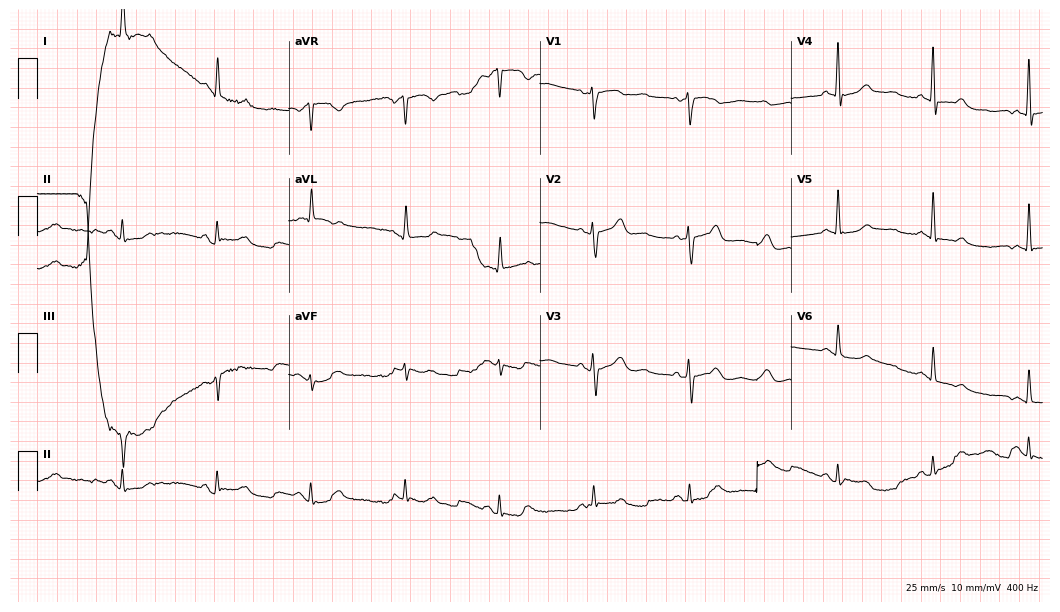
Resting 12-lead electrocardiogram (10.2-second recording at 400 Hz). Patient: an 81-year-old female. Read as a normal ECG.